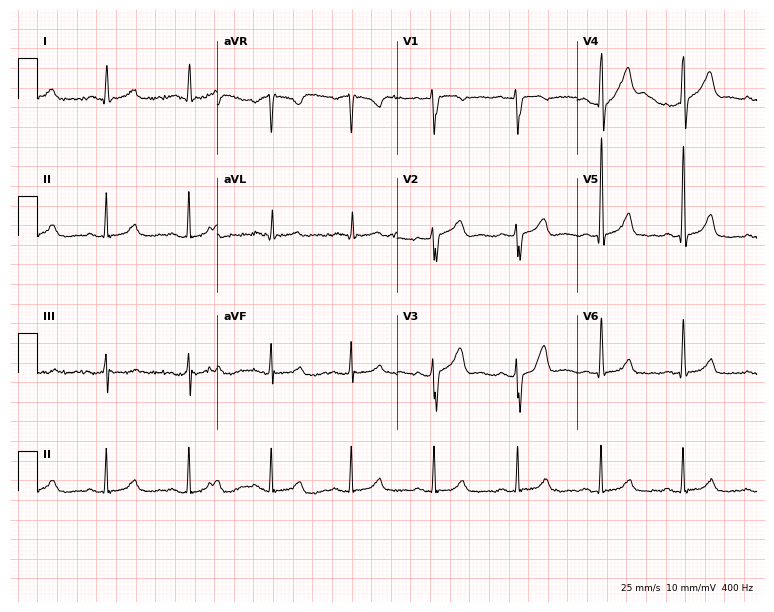
ECG (7.3-second recording at 400 Hz) — a 40-year-old woman. Labelled as a normal ECG.